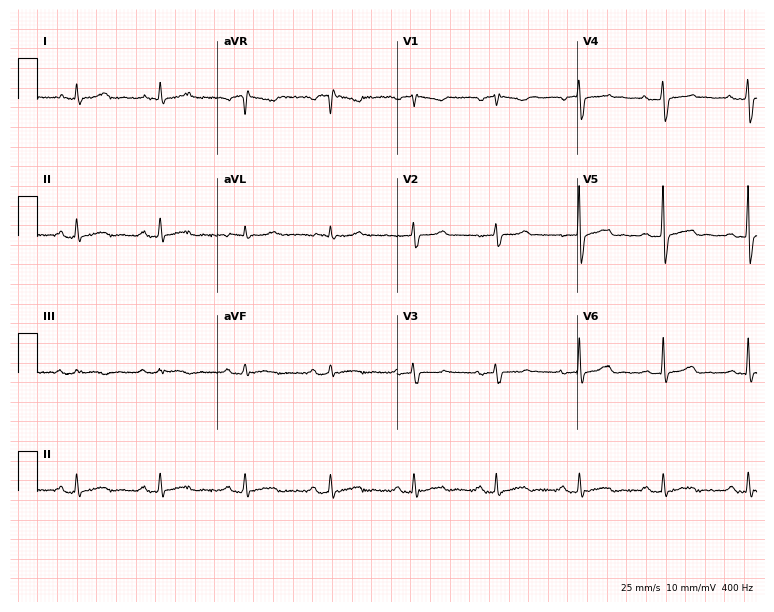
Resting 12-lead electrocardiogram. Patient: a 59-year-old man. Read as a normal ECG.